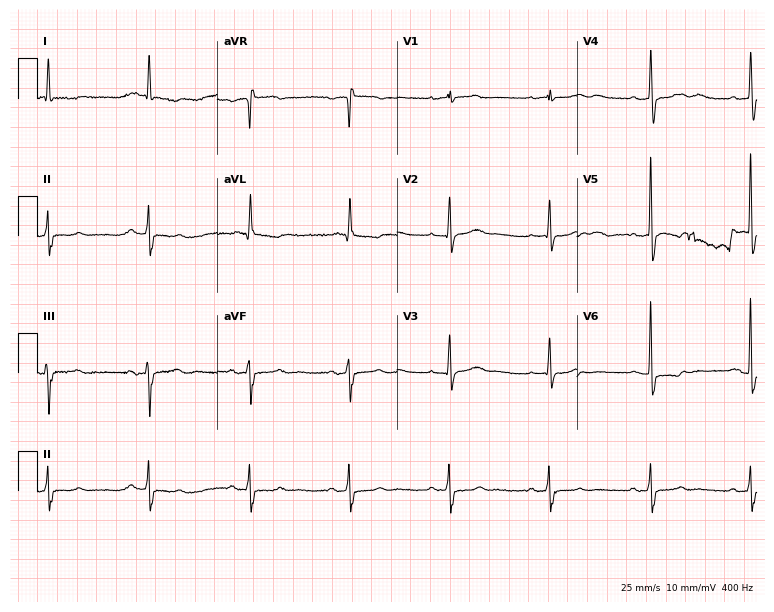
Standard 12-lead ECG recorded from an 88-year-old woman (7.3-second recording at 400 Hz). None of these six findings is recorded: first-degree AV block, right bundle branch block, left bundle branch block, sinus bradycardia, atrial fibrillation, sinus tachycardia.